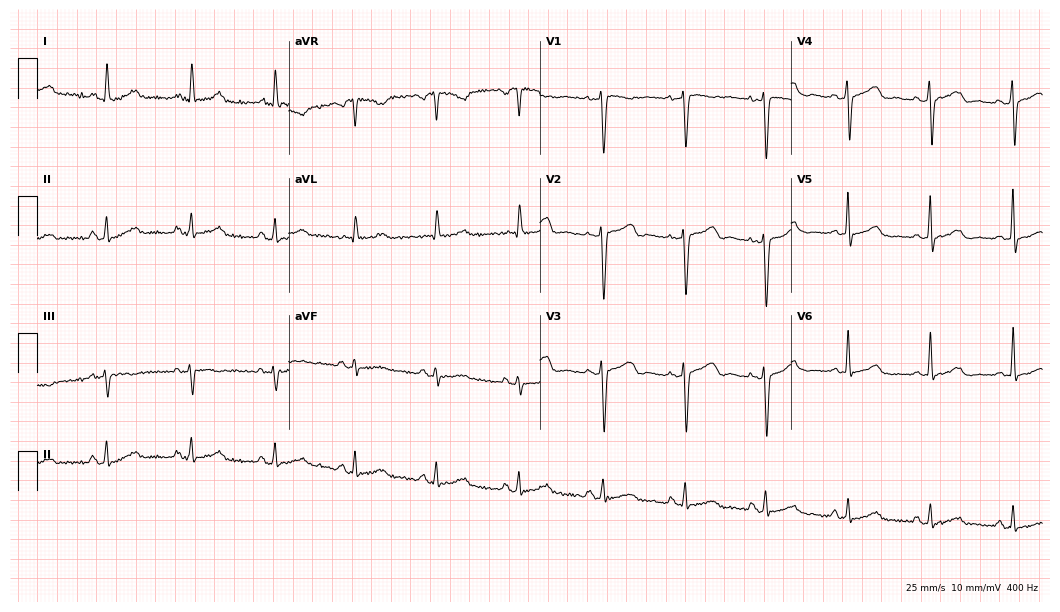
ECG — a 42-year-old female. Screened for six findings — first-degree AV block, right bundle branch block (RBBB), left bundle branch block (LBBB), sinus bradycardia, atrial fibrillation (AF), sinus tachycardia — none is recorded. Other findings, if any, are not listed.